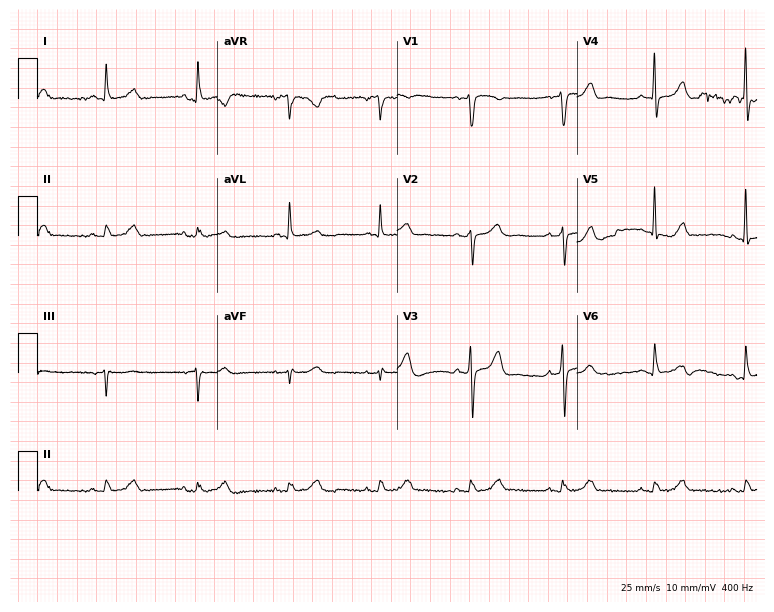
ECG — a 74-year-old woman. Labelled as a normal ECG.